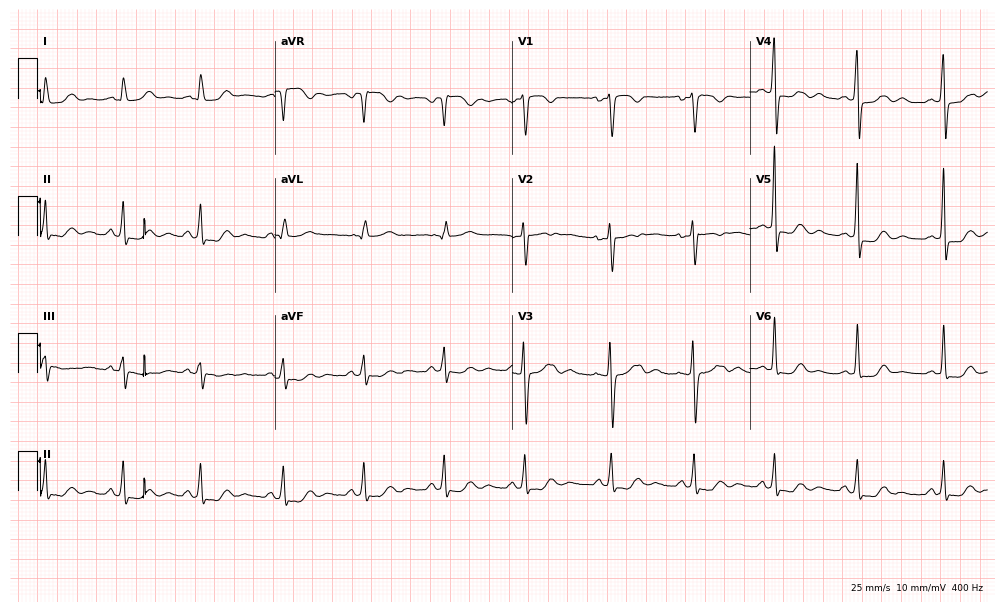
12-lead ECG (9.7-second recording at 400 Hz) from a woman, 40 years old. Screened for six findings — first-degree AV block, right bundle branch block, left bundle branch block, sinus bradycardia, atrial fibrillation, sinus tachycardia — none is recorded. Other findings, if any, are not listed.